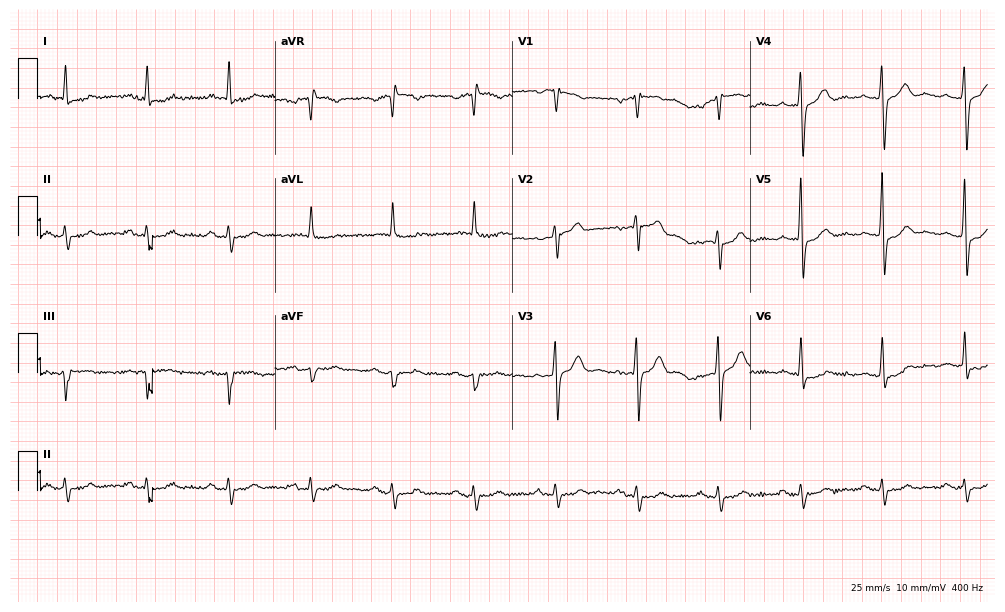
Electrocardiogram, an 81-year-old male. Of the six screened findings (first-degree AV block, right bundle branch block, left bundle branch block, sinus bradycardia, atrial fibrillation, sinus tachycardia), none is recorded.